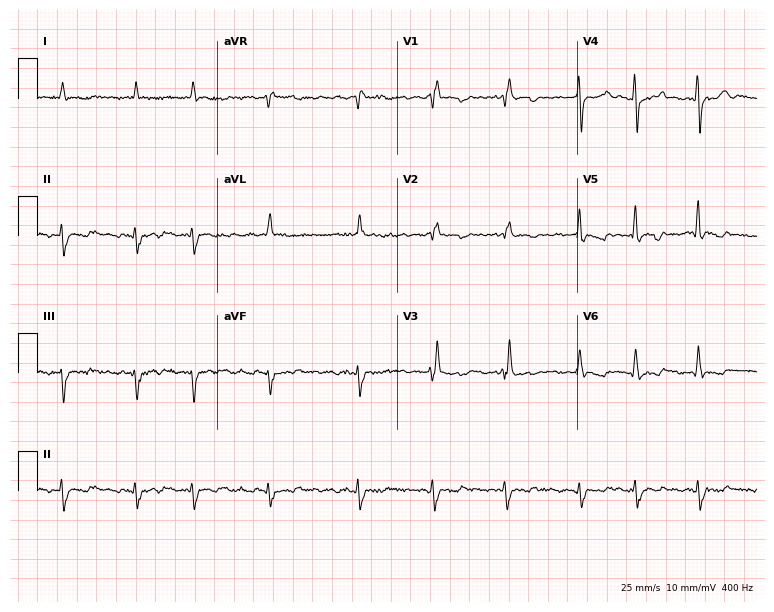
Standard 12-lead ECG recorded from a 68-year-old man. The tracing shows right bundle branch block.